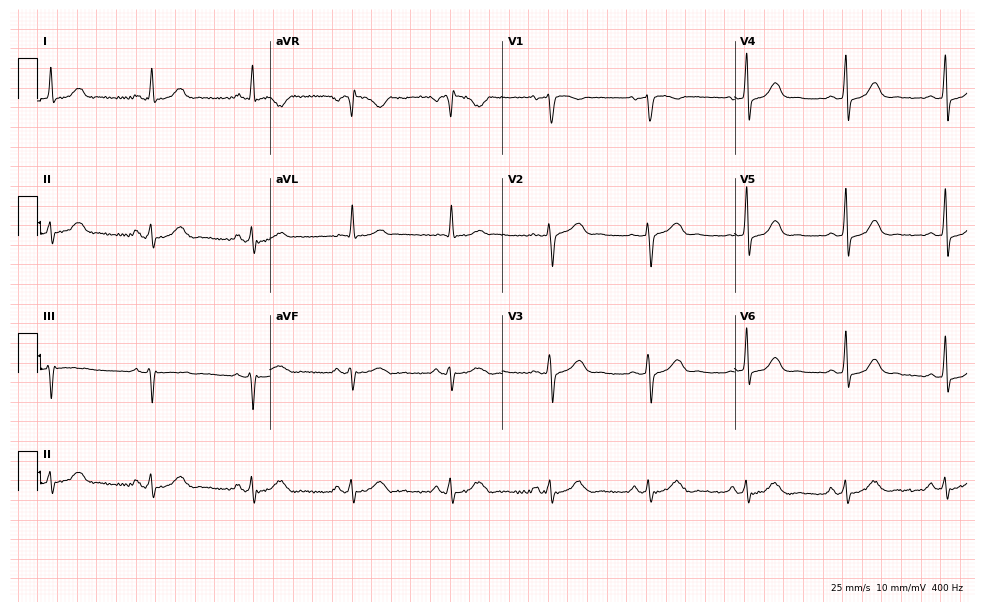
Resting 12-lead electrocardiogram. Patient: a woman, 53 years old. Read as a normal ECG.